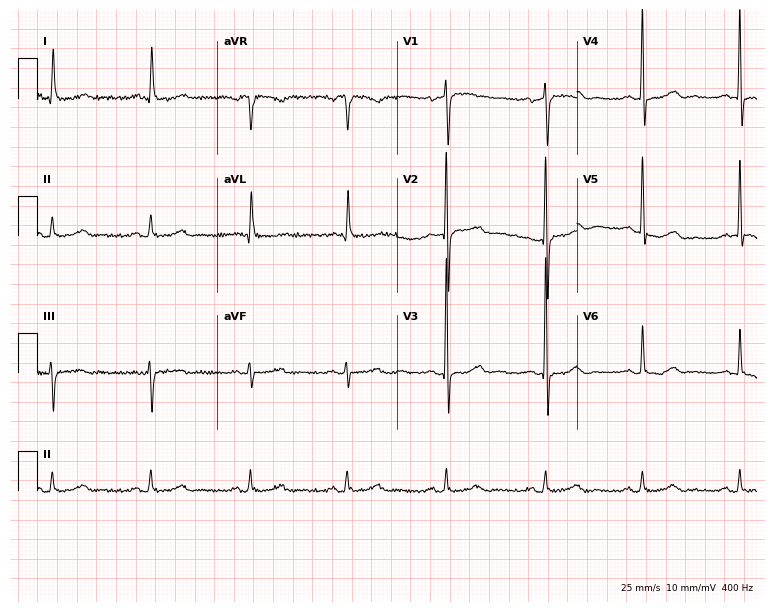
12-lead ECG from a 61-year-old female (7.3-second recording at 400 Hz). No first-degree AV block, right bundle branch block, left bundle branch block, sinus bradycardia, atrial fibrillation or sinus tachycardia recorded for this tracing.